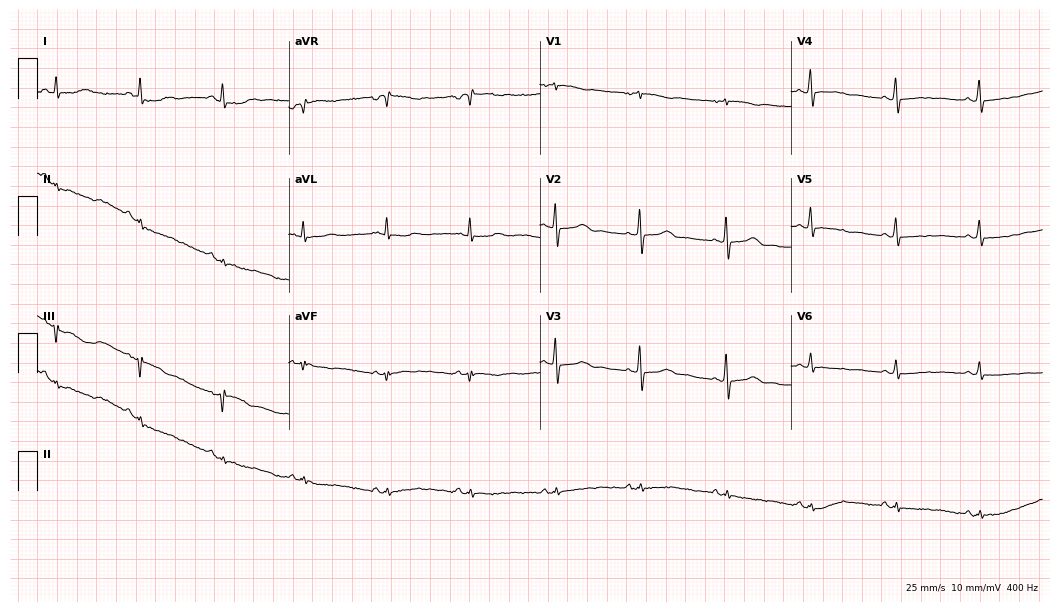
Resting 12-lead electrocardiogram (10.2-second recording at 400 Hz). Patient: a female, 62 years old. None of these six findings is recorded: first-degree AV block, right bundle branch block, left bundle branch block, sinus bradycardia, atrial fibrillation, sinus tachycardia. Only these six findings were labelled.